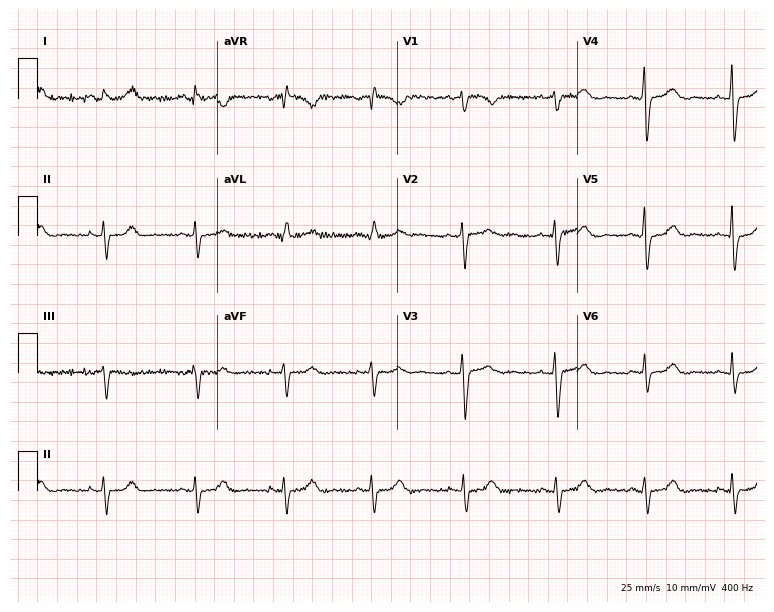
12-lead ECG (7.3-second recording at 400 Hz) from a woman, 40 years old. Screened for six findings — first-degree AV block, right bundle branch block, left bundle branch block, sinus bradycardia, atrial fibrillation, sinus tachycardia — none is recorded.